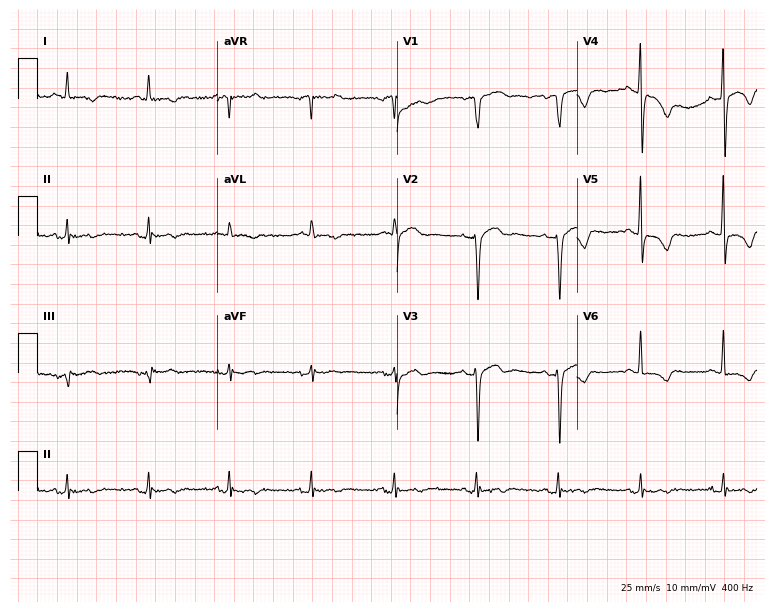
Electrocardiogram (7.3-second recording at 400 Hz), a 70-year-old woman. Of the six screened findings (first-degree AV block, right bundle branch block, left bundle branch block, sinus bradycardia, atrial fibrillation, sinus tachycardia), none is recorded.